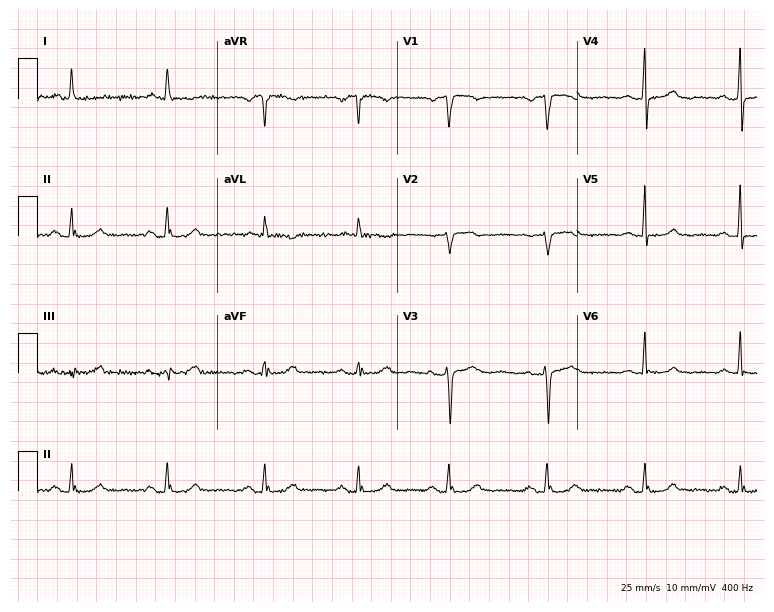
Electrocardiogram, a 54-year-old woman. Of the six screened findings (first-degree AV block, right bundle branch block, left bundle branch block, sinus bradycardia, atrial fibrillation, sinus tachycardia), none is recorded.